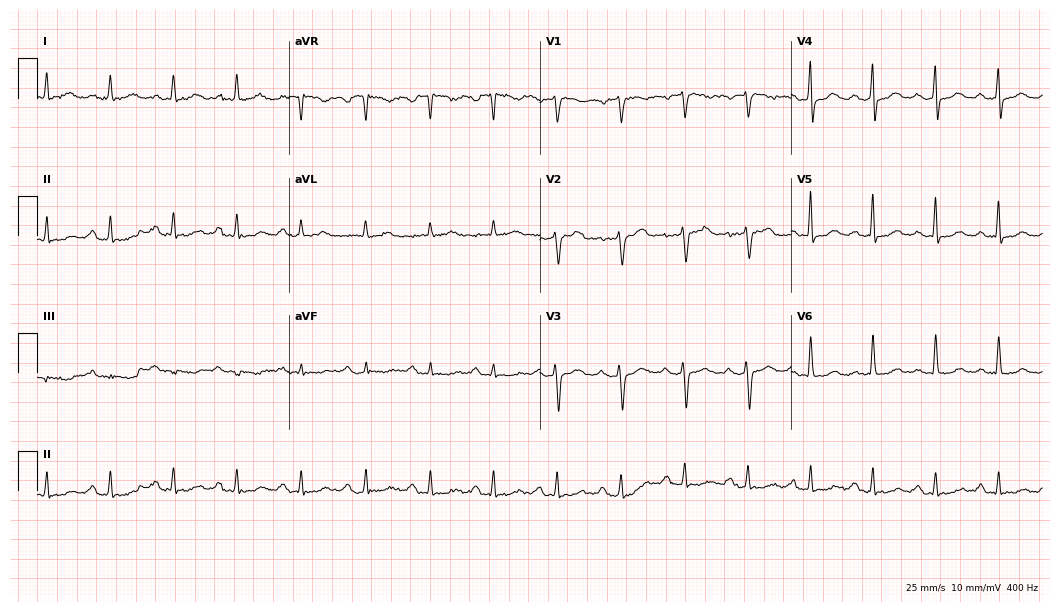
Electrocardiogram, a female, 60 years old. Of the six screened findings (first-degree AV block, right bundle branch block (RBBB), left bundle branch block (LBBB), sinus bradycardia, atrial fibrillation (AF), sinus tachycardia), none is recorded.